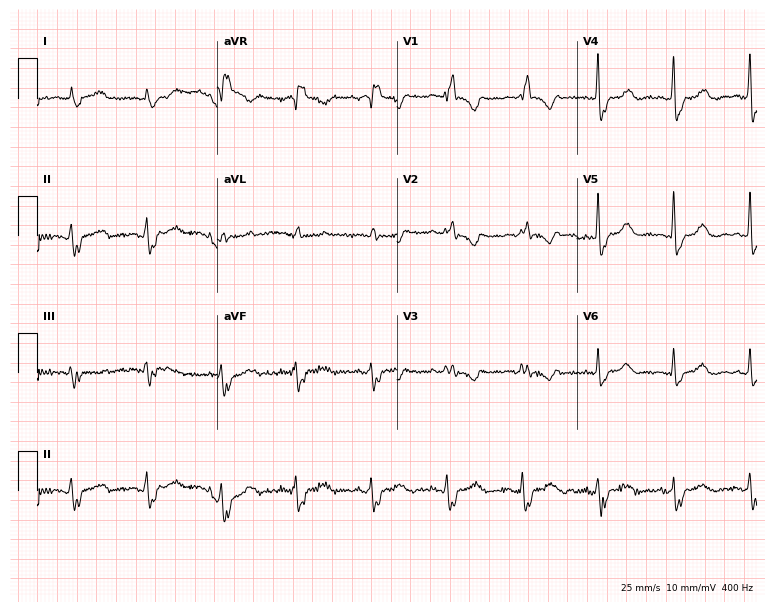
Resting 12-lead electrocardiogram (7.3-second recording at 400 Hz). Patient: a man, 78 years old. The tracing shows right bundle branch block.